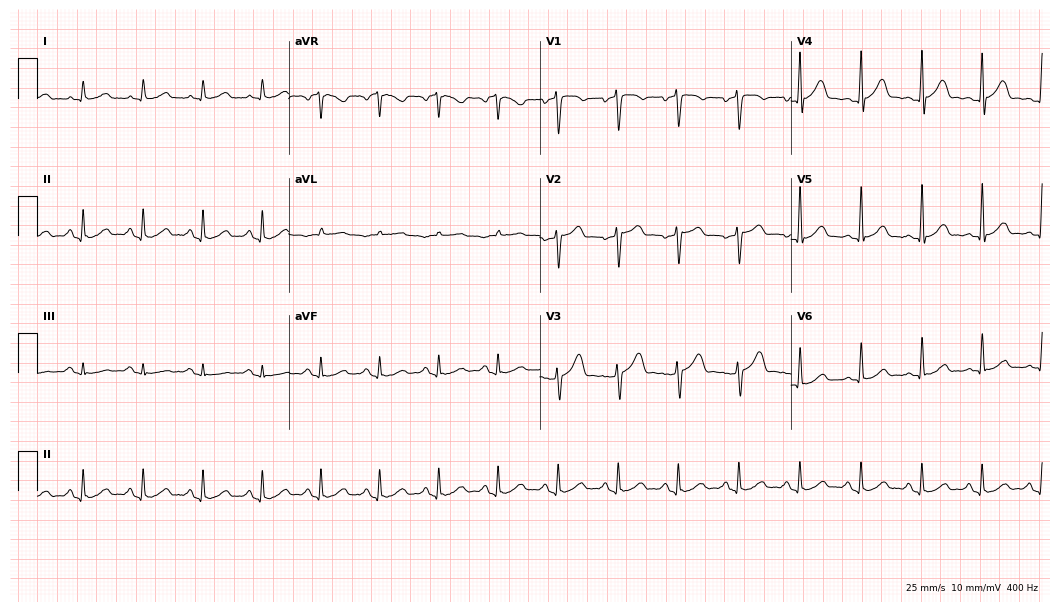
Resting 12-lead electrocardiogram. Patient: a 49-year-old male. None of these six findings is recorded: first-degree AV block, right bundle branch block, left bundle branch block, sinus bradycardia, atrial fibrillation, sinus tachycardia. Only these six findings were labelled.